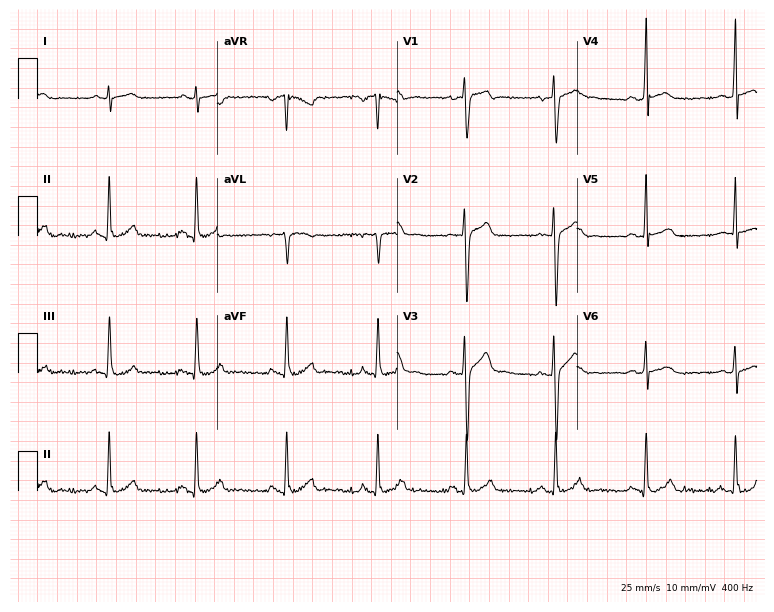
12-lead ECG (7.3-second recording at 400 Hz) from an 18-year-old male patient. Screened for six findings — first-degree AV block, right bundle branch block, left bundle branch block, sinus bradycardia, atrial fibrillation, sinus tachycardia — none is recorded.